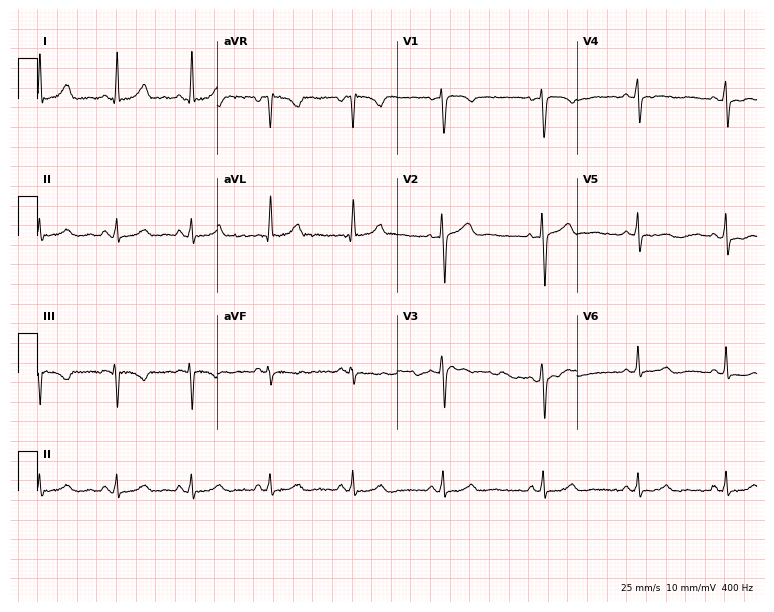
Standard 12-lead ECG recorded from a 33-year-old woman (7.3-second recording at 400 Hz). None of these six findings is recorded: first-degree AV block, right bundle branch block (RBBB), left bundle branch block (LBBB), sinus bradycardia, atrial fibrillation (AF), sinus tachycardia. Only these six findings were labelled.